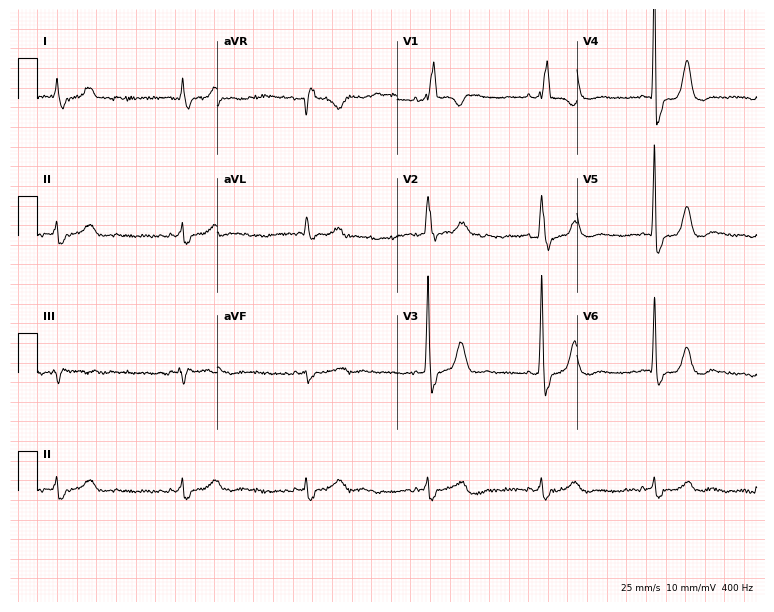
12-lead ECG (7.3-second recording at 400 Hz) from a male patient, 84 years old. Findings include right bundle branch block (RBBB), sinus bradycardia (a sinus rate of 50 beats per minute or less).